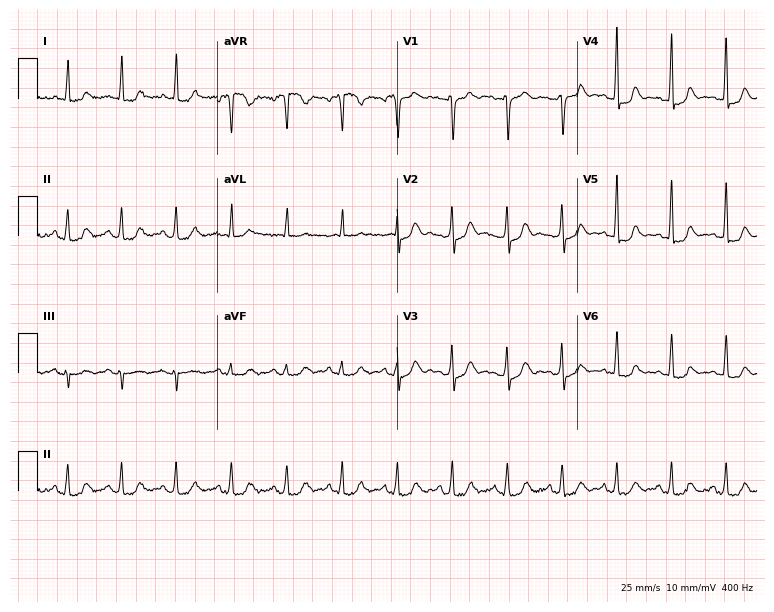
Electrocardiogram, a woman, 49 years old. Of the six screened findings (first-degree AV block, right bundle branch block (RBBB), left bundle branch block (LBBB), sinus bradycardia, atrial fibrillation (AF), sinus tachycardia), none is recorded.